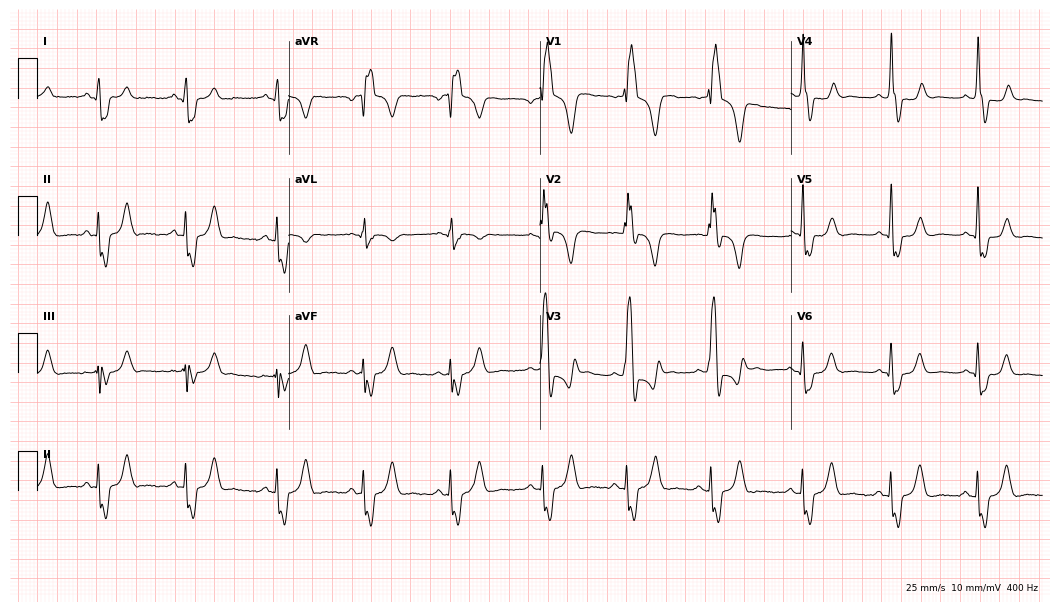
ECG — a female patient, 27 years old. Findings include right bundle branch block.